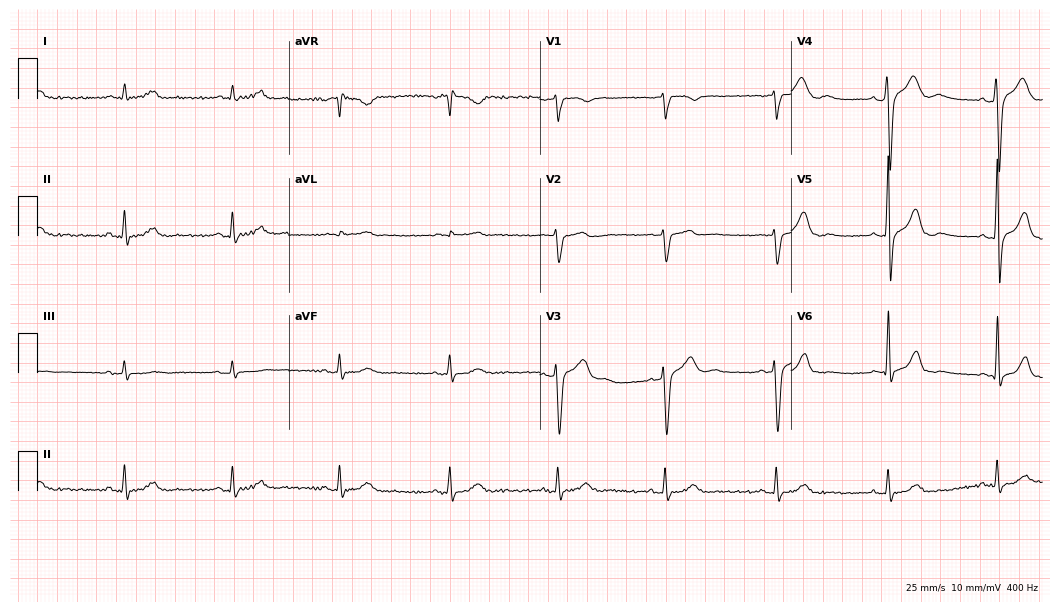
12-lead ECG from a male, 39 years old. No first-degree AV block, right bundle branch block (RBBB), left bundle branch block (LBBB), sinus bradycardia, atrial fibrillation (AF) or sinus tachycardia recorded for this tracing. Only these six findings were labelled.